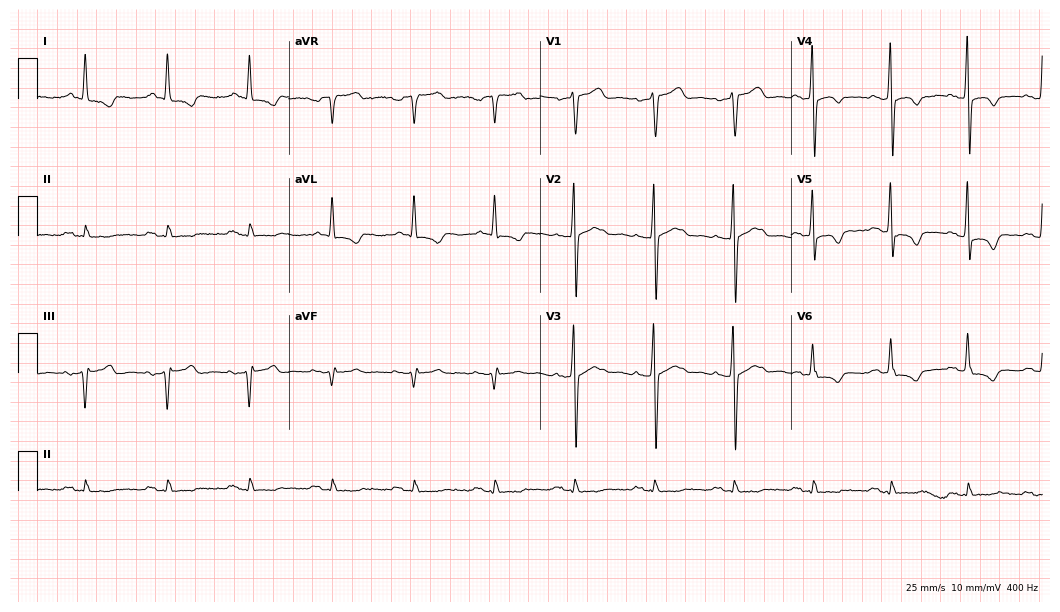
Electrocardiogram (10.2-second recording at 400 Hz), a man, 68 years old. Of the six screened findings (first-degree AV block, right bundle branch block, left bundle branch block, sinus bradycardia, atrial fibrillation, sinus tachycardia), none is recorded. Other findings, if any, are not listed.